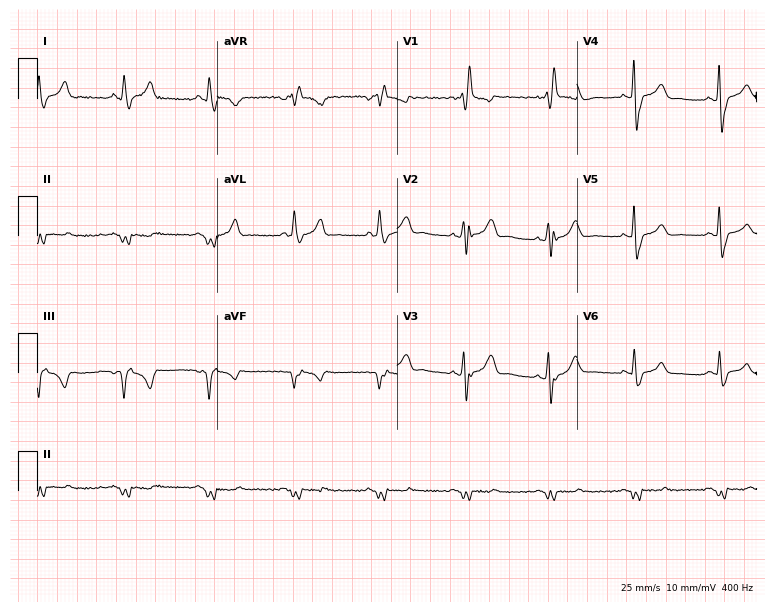
Resting 12-lead electrocardiogram (7.3-second recording at 400 Hz). Patient: a male, 56 years old. The tracing shows right bundle branch block.